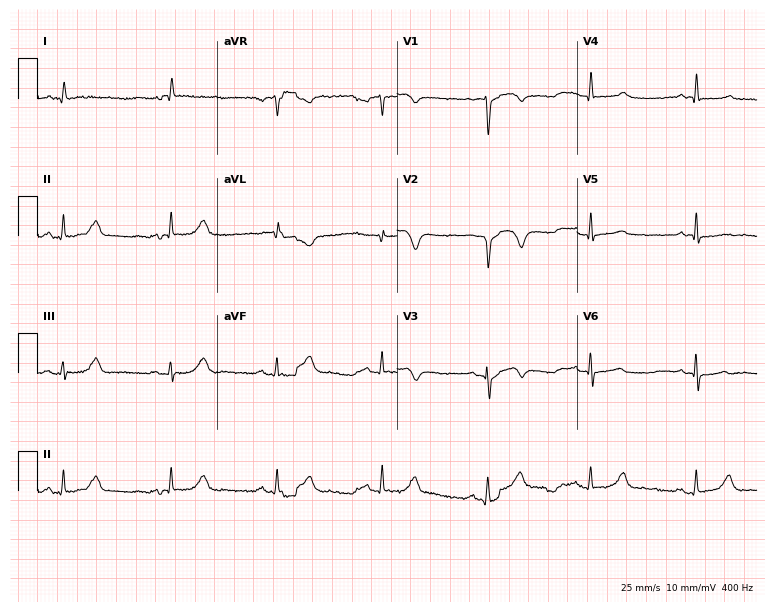
Standard 12-lead ECG recorded from a male, 83 years old (7.3-second recording at 400 Hz). None of these six findings is recorded: first-degree AV block, right bundle branch block, left bundle branch block, sinus bradycardia, atrial fibrillation, sinus tachycardia.